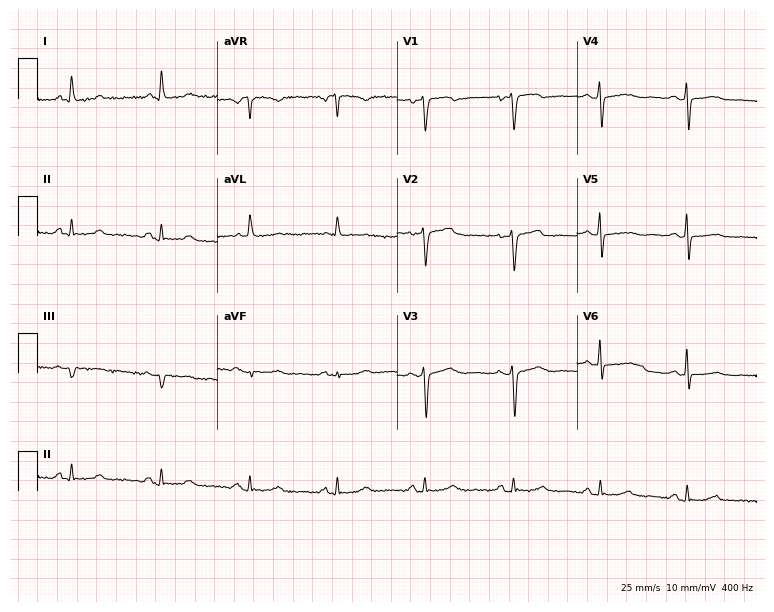
12-lead ECG from a 57-year-old woman. Screened for six findings — first-degree AV block, right bundle branch block, left bundle branch block, sinus bradycardia, atrial fibrillation, sinus tachycardia — none is recorded. Only these six findings were labelled.